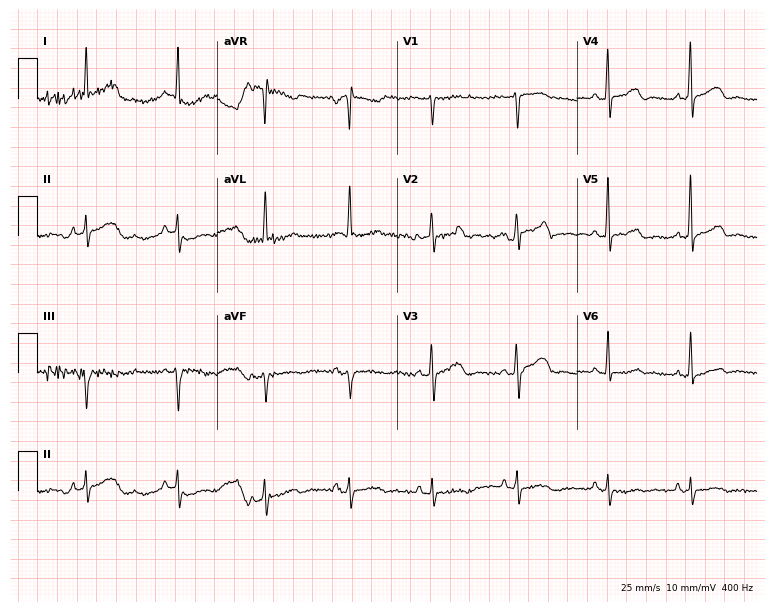
Resting 12-lead electrocardiogram. Patient: a 56-year-old female. None of these six findings is recorded: first-degree AV block, right bundle branch block, left bundle branch block, sinus bradycardia, atrial fibrillation, sinus tachycardia. Findings outside these six are not listed.